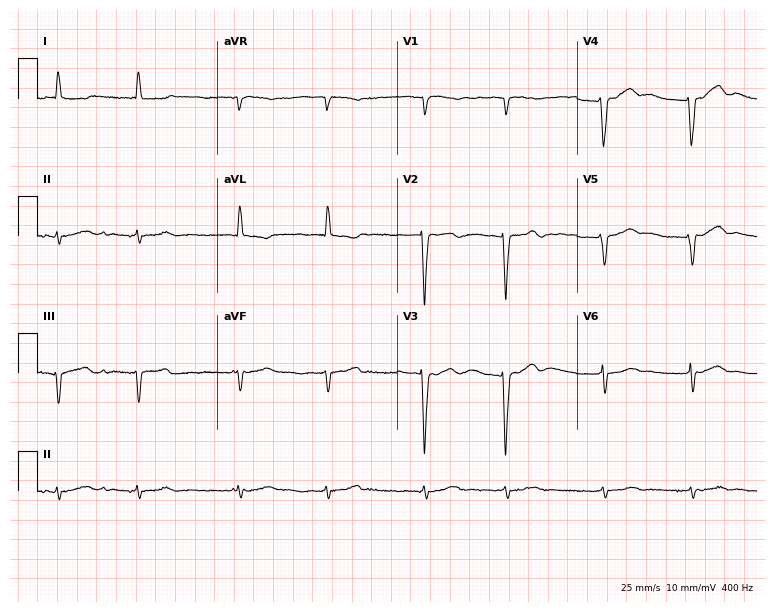
Standard 12-lead ECG recorded from an 85-year-old male (7.3-second recording at 400 Hz). None of these six findings is recorded: first-degree AV block, right bundle branch block (RBBB), left bundle branch block (LBBB), sinus bradycardia, atrial fibrillation (AF), sinus tachycardia.